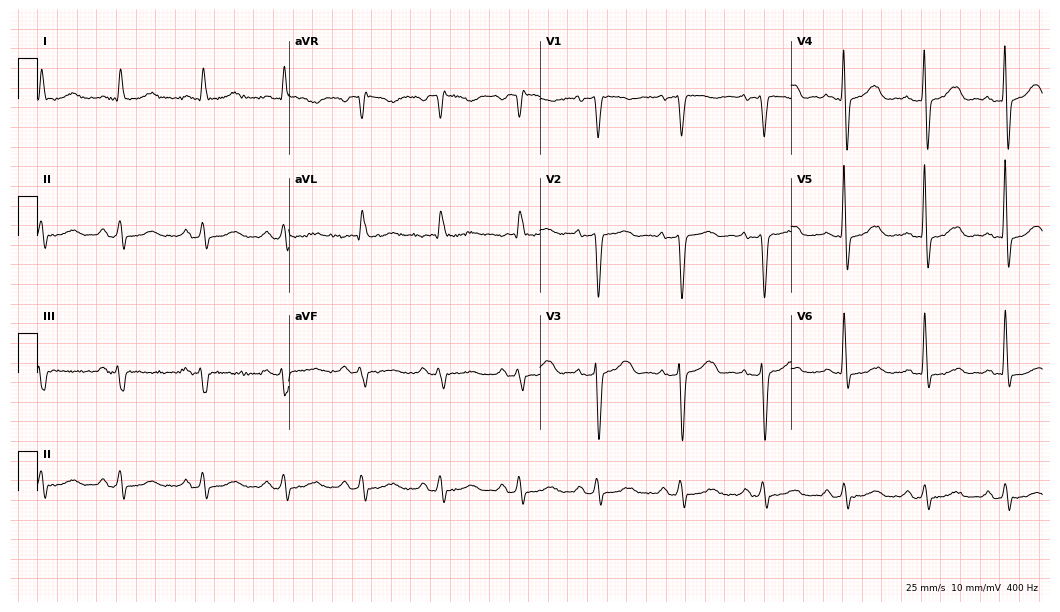
12-lead ECG from a woman, 78 years old. No first-degree AV block, right bundle branch block (RBBB), left bundle branch block (LBBB), sinus bradycardia, atrial fibrillation (AF) or sinus tachycardia recorded for this tracing.